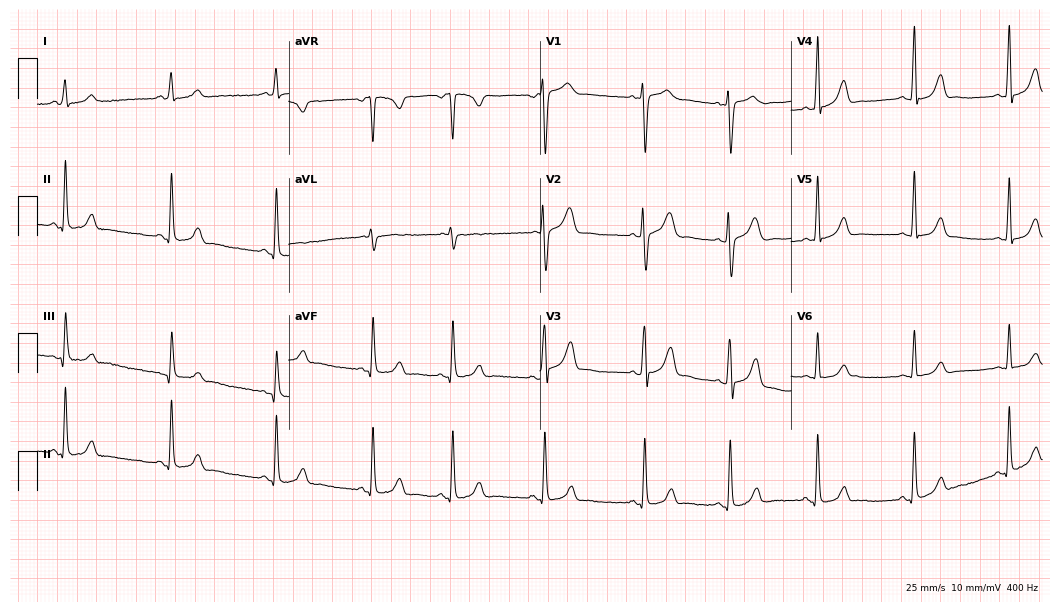
12-lead ECG (10.2-second recording at 400 Hz) from a 17-year-old woman. Labelled as a normal ECG.